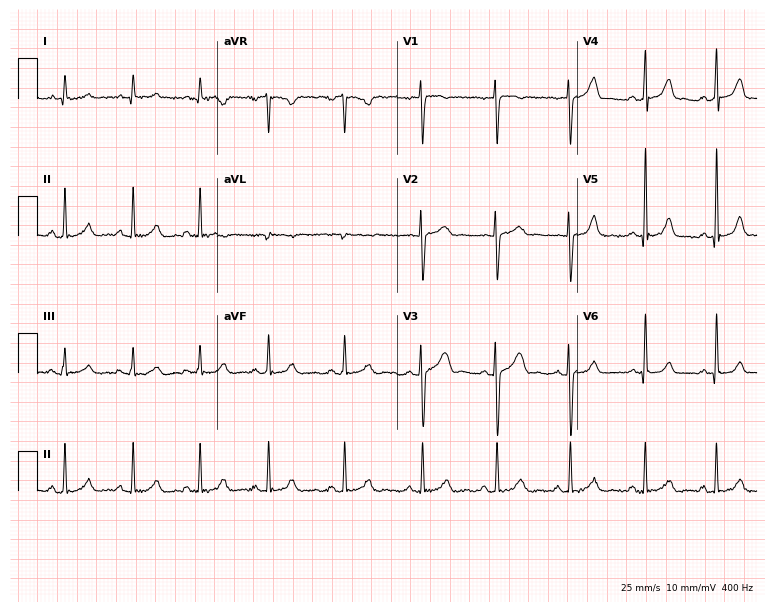
Resting 12-lead electrocardiogram (7.3-second recording at 400 Hz). Patient: a female, 26 years old. Read as a normal ECG.